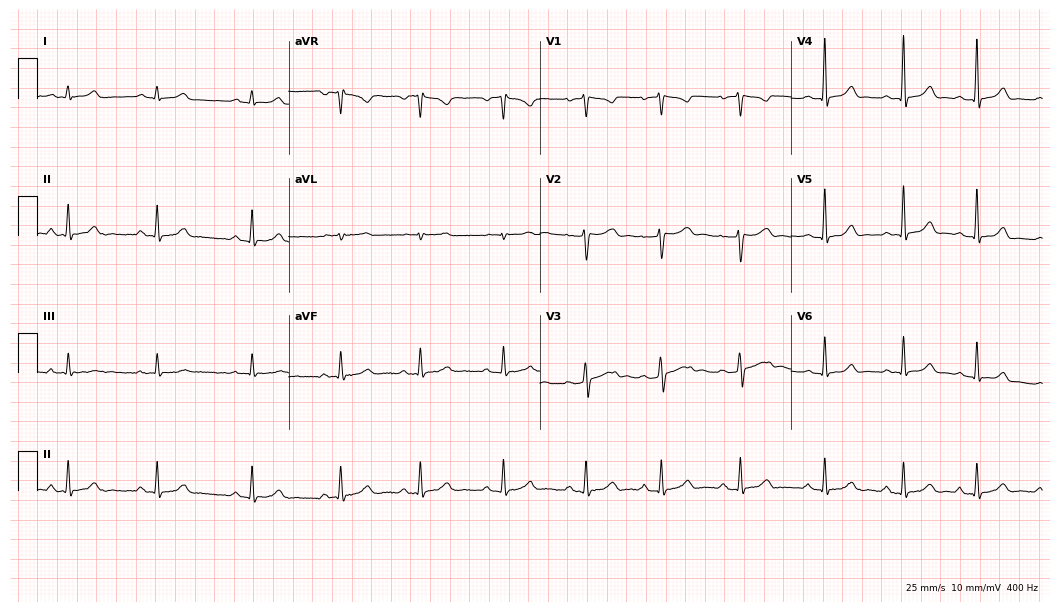
Electrocardiogram (10.2-second recording at 400 Hz), a female, 22 years old. Of the six screened findings (first-degree AV block, right bundle branch block, left bundle branch block, sinus bradycardia, atrial fibrillation, sinus tachycardia), none is recorded.